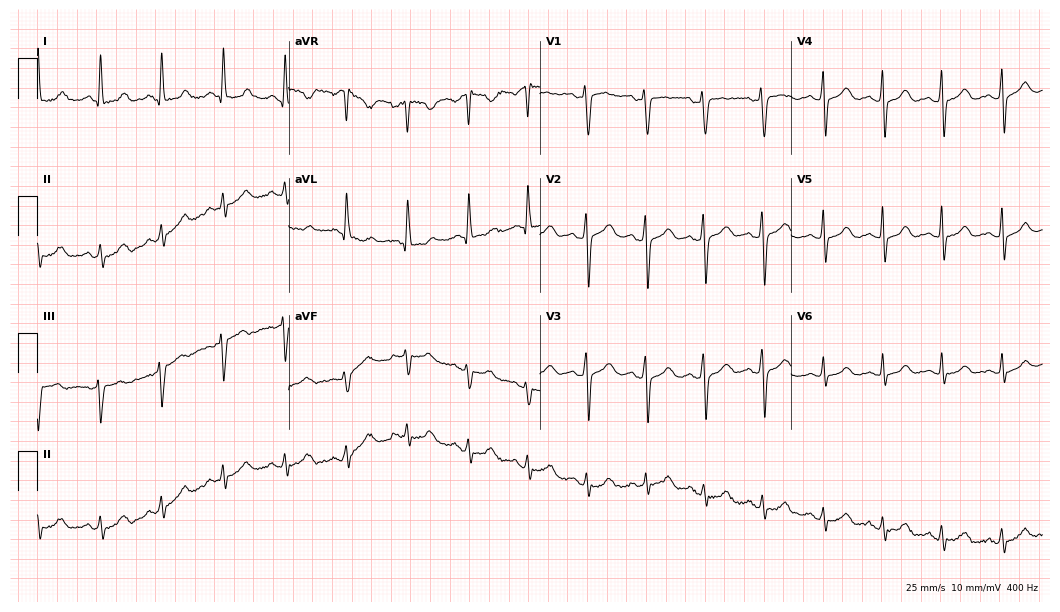
Electrocardiogram, a 41-year-old woman. Overall reading on record: normal ECG.